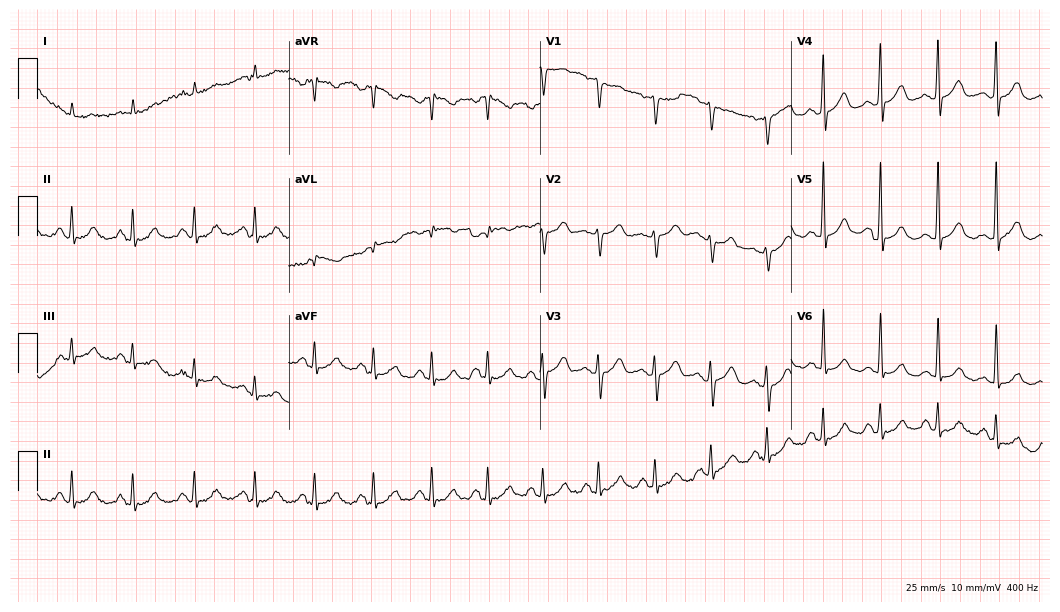
12-lead ECG from a man, 67 years old. Findings include sinus tachycardia (a sinus rate of 100 beats per minute or more).